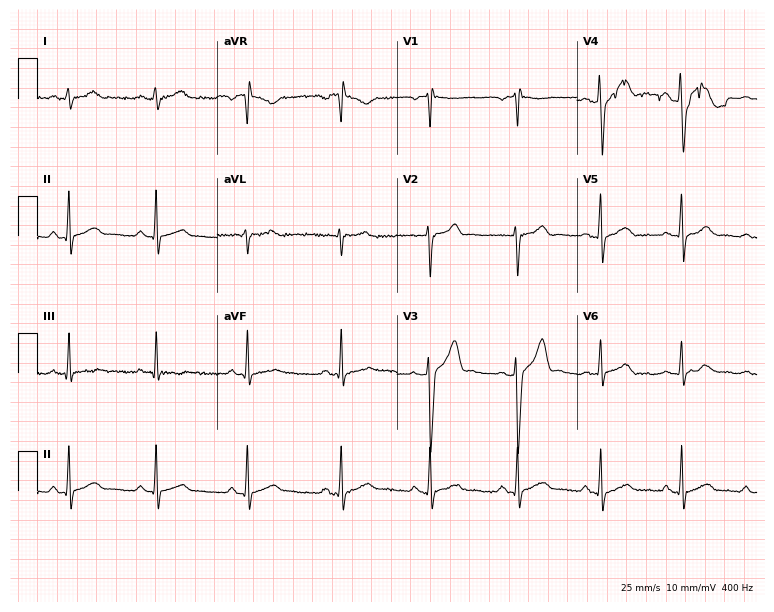
12-lead ECG from a man, 24 years old. Screened for six findings — first-degree AV block, right bundle branch block, left bundle branch block, sinus bradycardia, atrial fibrillation, sinus tachycardia — none is recorded. Other findings, if any, are not listed.